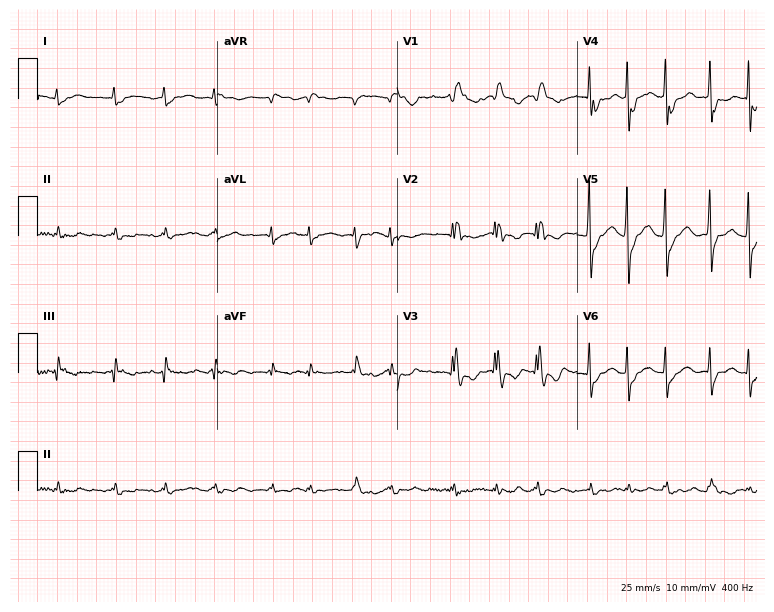
Standard 12-lead ECG recorded from a male patient, 76 years old (7.3-second recording at 400 Hz). The tracing shows right bundle branch block, atrial fibrillation.